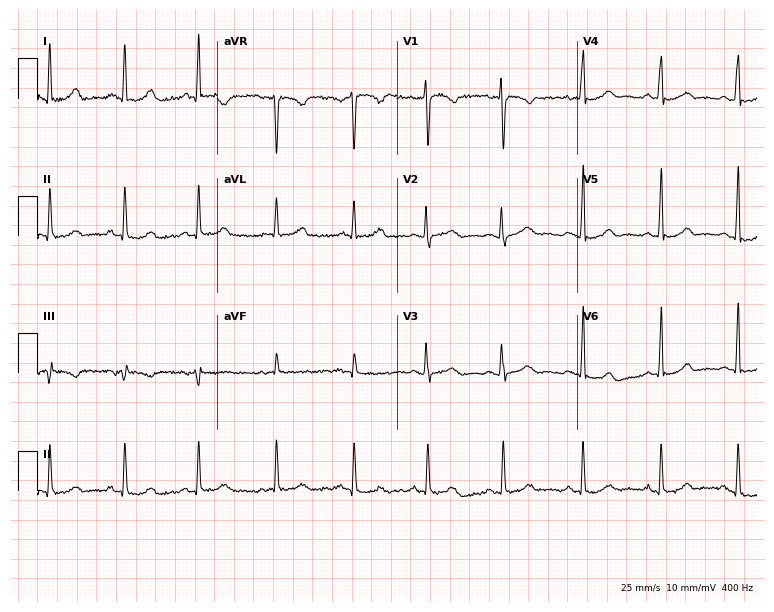
Standard 12-lead ECG recorded from a female patient, 37 years old. Read as a normal ECG.